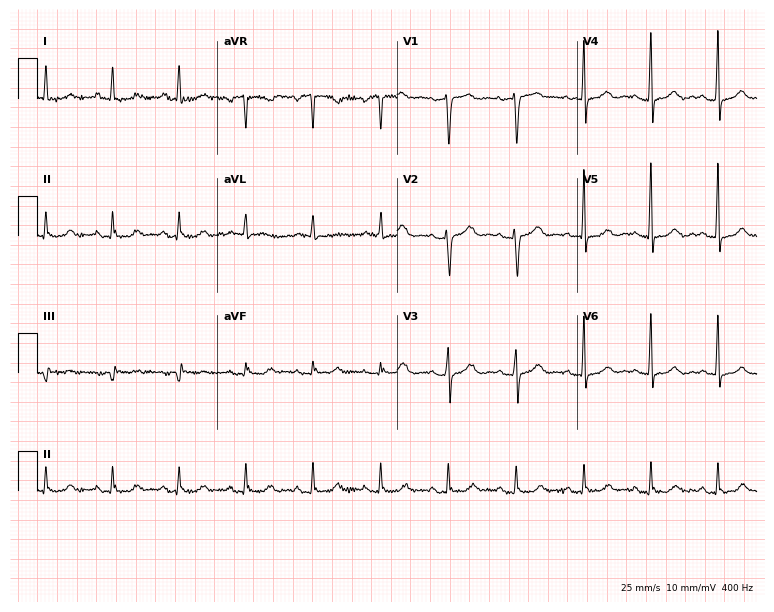
12-lead ECG from a woman, 68 years old. Screened for six findings — first-degree AV block, right bundle branch block (RBBB), left bundle branch block (LBBB), sinus bradycardia, atrial fibrillation (AF), sinus tachycardia — none is recorded.